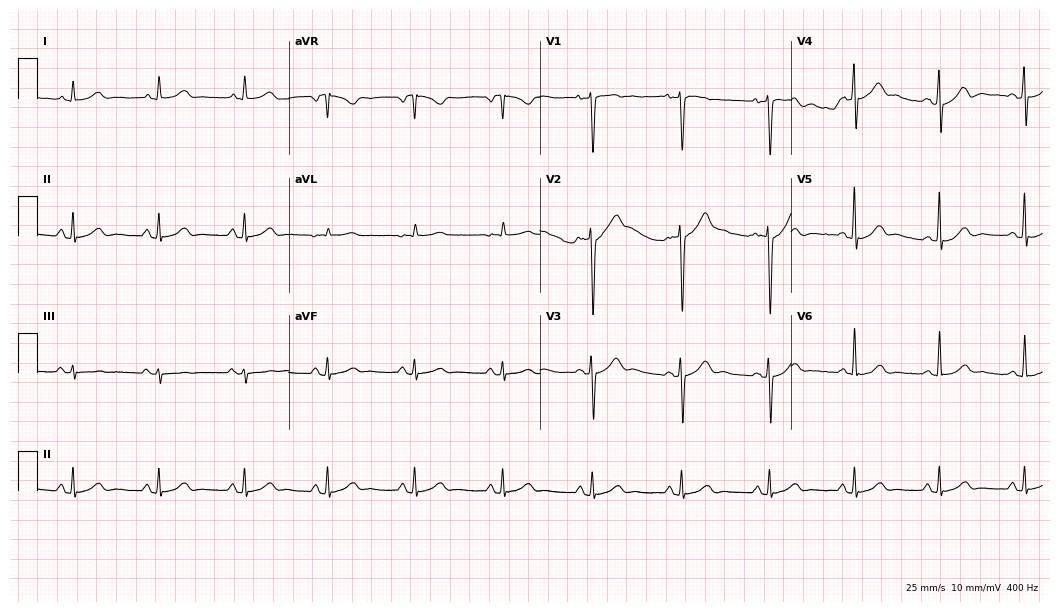
12-lead ECG (10.2-second recording at 400 Hz) from a 33-year-old female. Labelled as a normal ECG.